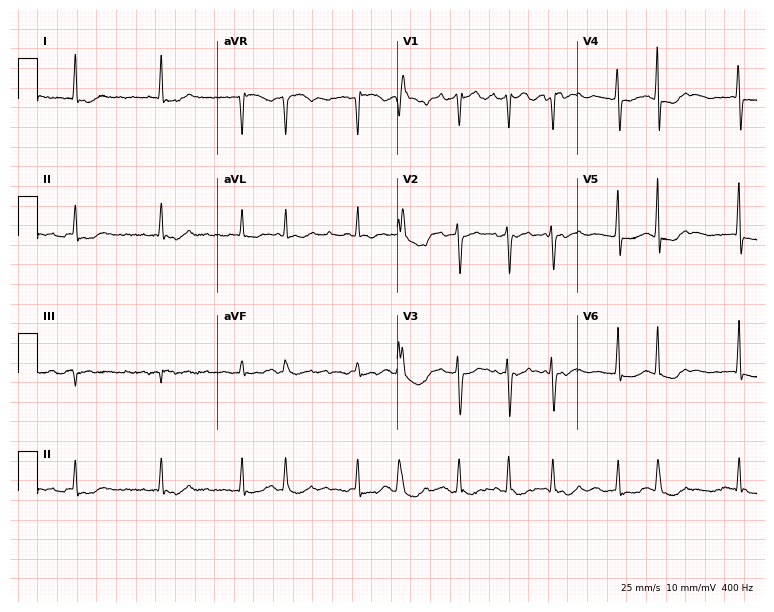
Resting 12-lead electrocardiogram (7.3-second recording at 400 Hz). Patient: a female, 63 years old. The tracing shows atrial fibrillation.